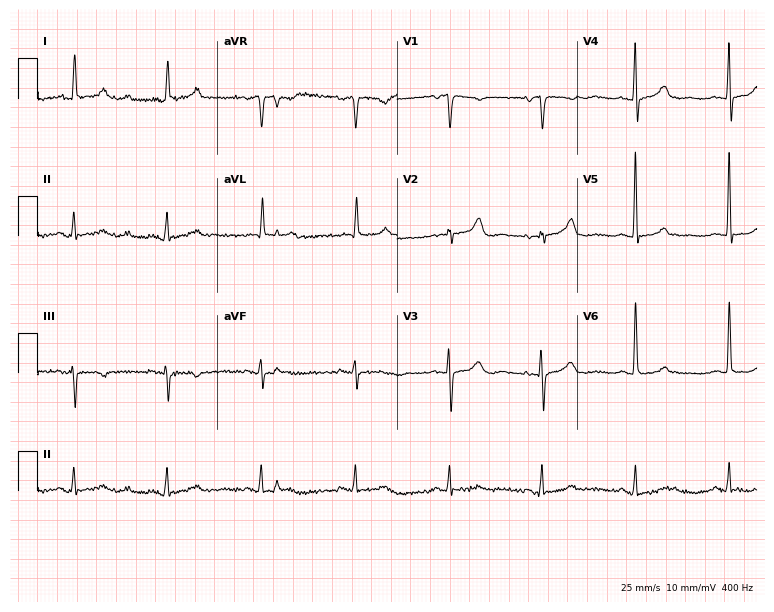
Standard 12-lead ECG recorded from a 76-year-old female patient. None of these six findings is recorded: first-degree AV block, right bundle branch block (RBBB), left bundle branch block (LBBB), sinus bradycardia, atrial fibrillation (AF), sinus tachycardia. Only these six findings were labelled.